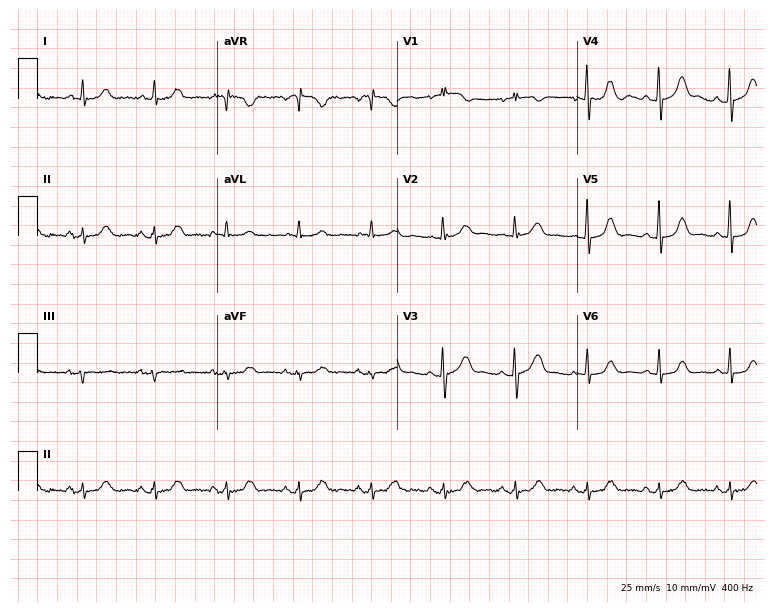
12-lead ECG from a 66-year-old woman. Recorded interpretation: within normal limits.